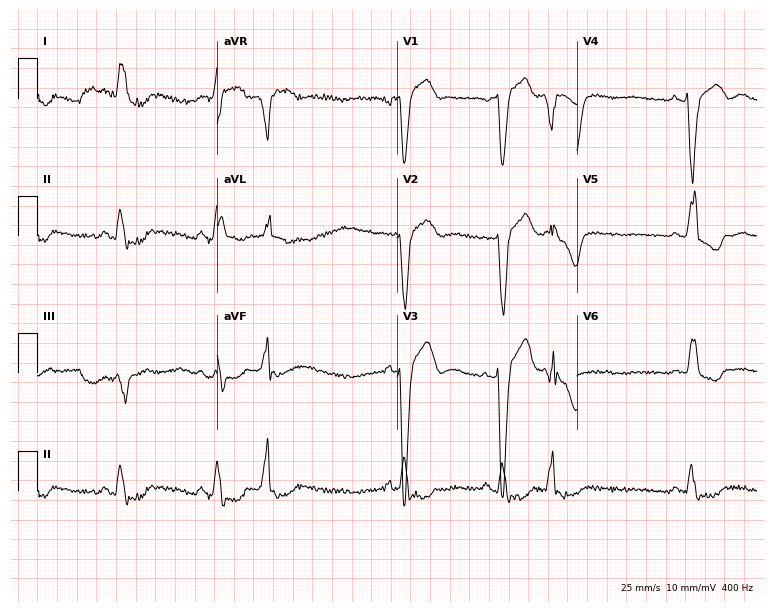
ECG — a male patient, 77 years old. Findings include left bundle branch block.